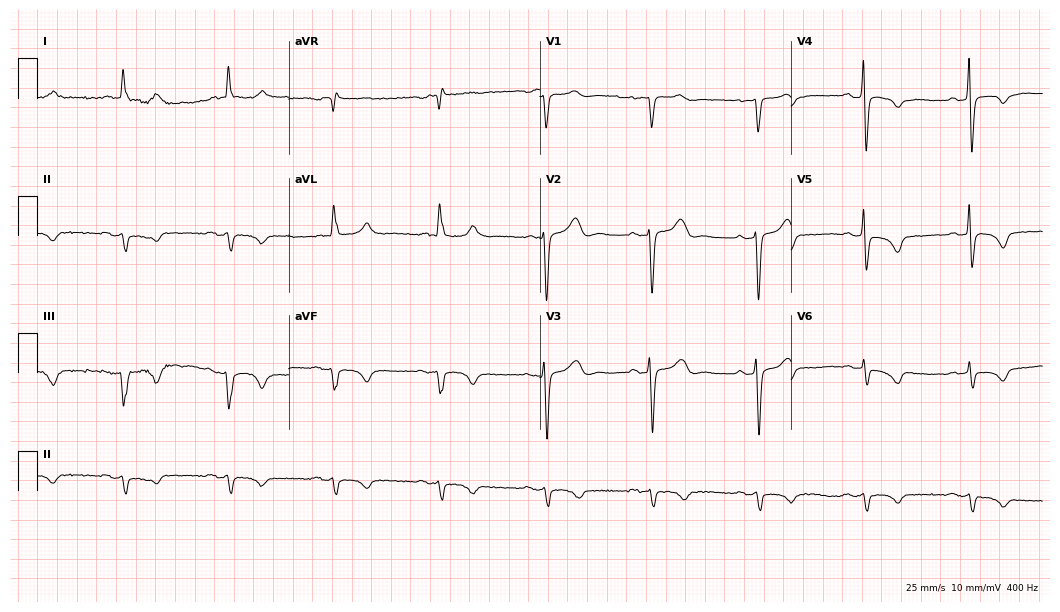
12-lead ECG from a 76-year-old male. Screened for six findings — first-degree AV block, right bundle branch block, left bundle branch block, sinus bradycardia, atrial fibrillation, sinus tachycardia — none is recorded. Only these six findings were labelled.